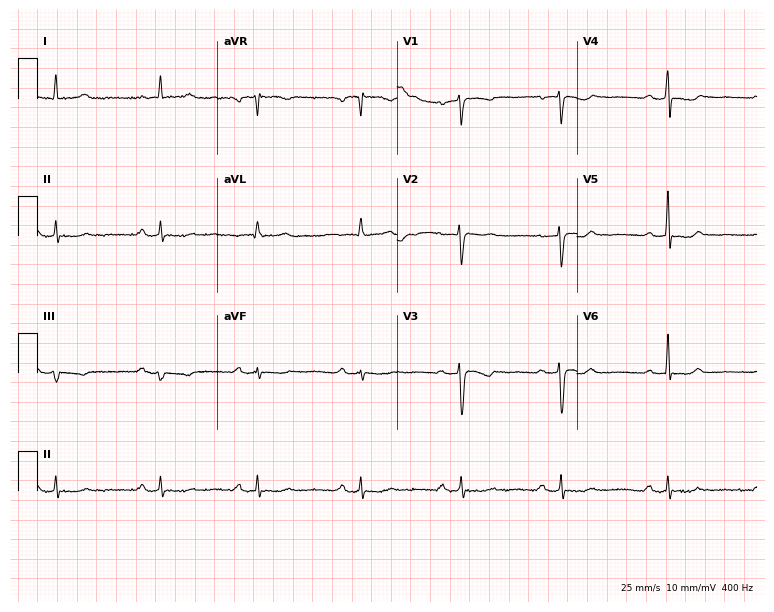
12-lead ECG from a 54-year-old female patient (7.3-second recording at 400 Hz). No first-degree AV block, right bundle branch block, left bundle branch block, sinus bradycardia, atrial fibrillation or sinus tachycardia recorded for this tracing. Findings outside these six are not listed.